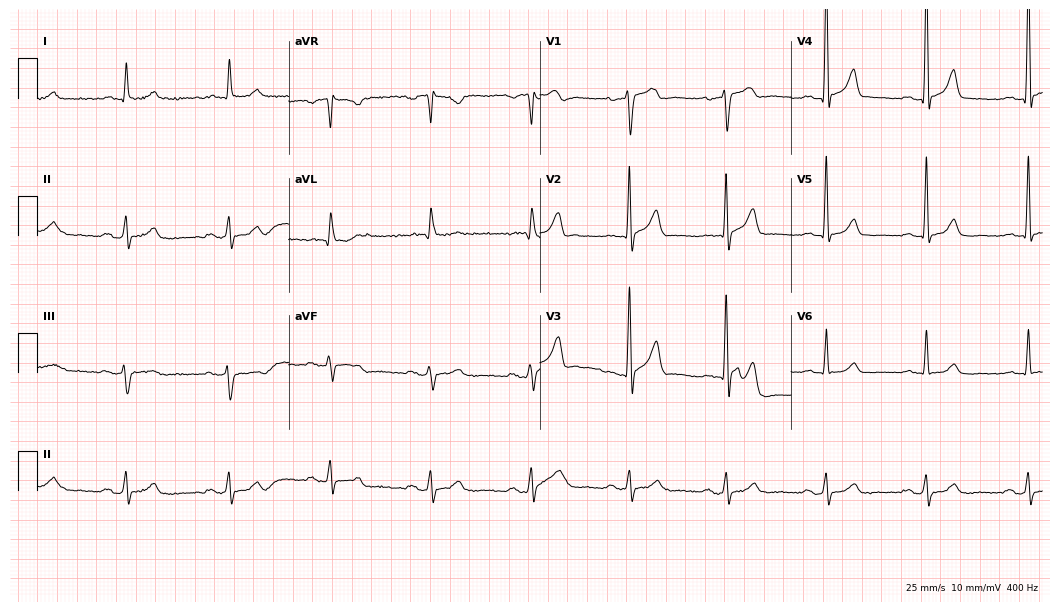
Resting 12-lead electrocardiogram. Patient: a 70-year-old man. Read as a normal ECG.